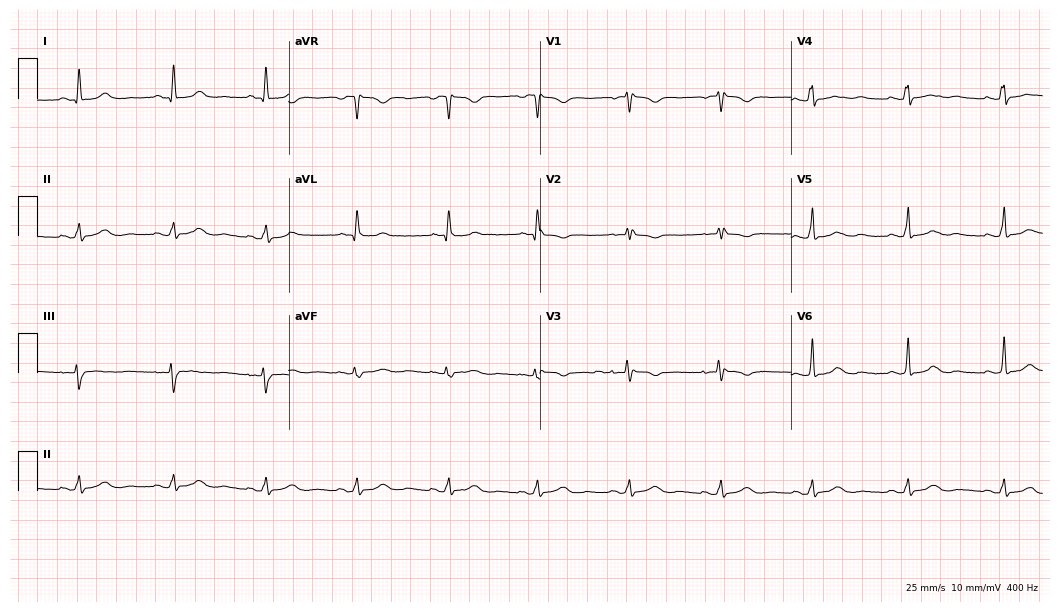
Standard 12-lead ECG recorded from a female, 52 years old (10.2-second recording at 400 Hz). None of these six findings is recorded: first-degree AV block, right bundle branch block, left bundle branch block, sinus bradycardia, atrial fibrillation, sinus tachycardia.